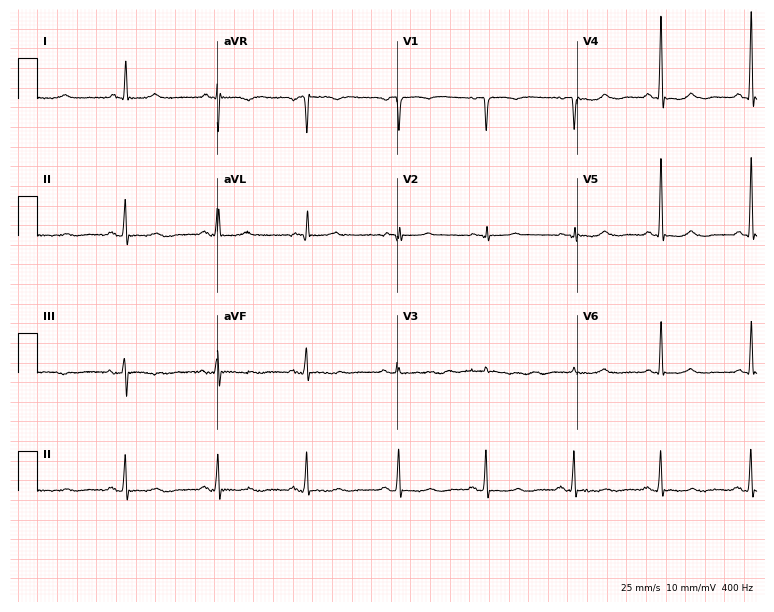
Resting 12-lead electrocardiogram. Patient: a woman, 70 years old. None of these six findings is recorded: first-degree AV block, right bundle branch block, left bundle branch block, sinus bradycardia, atrial fibrillation, sinus tachycardia.